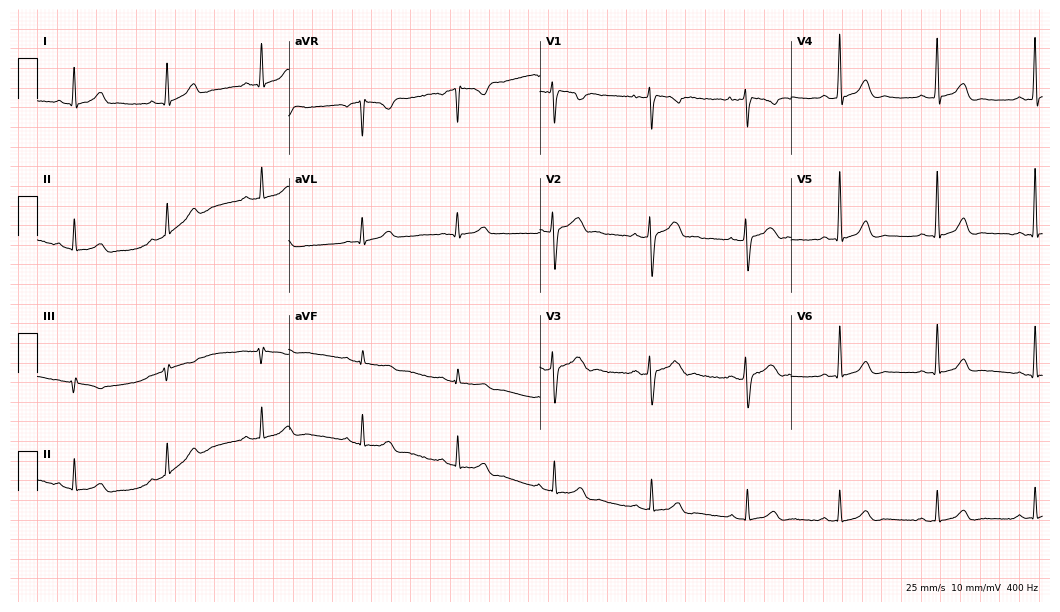
12-lead ECG (10.2-second recording at 400 Hz) from a 35-year-old man. Labelled as a normal ECG.